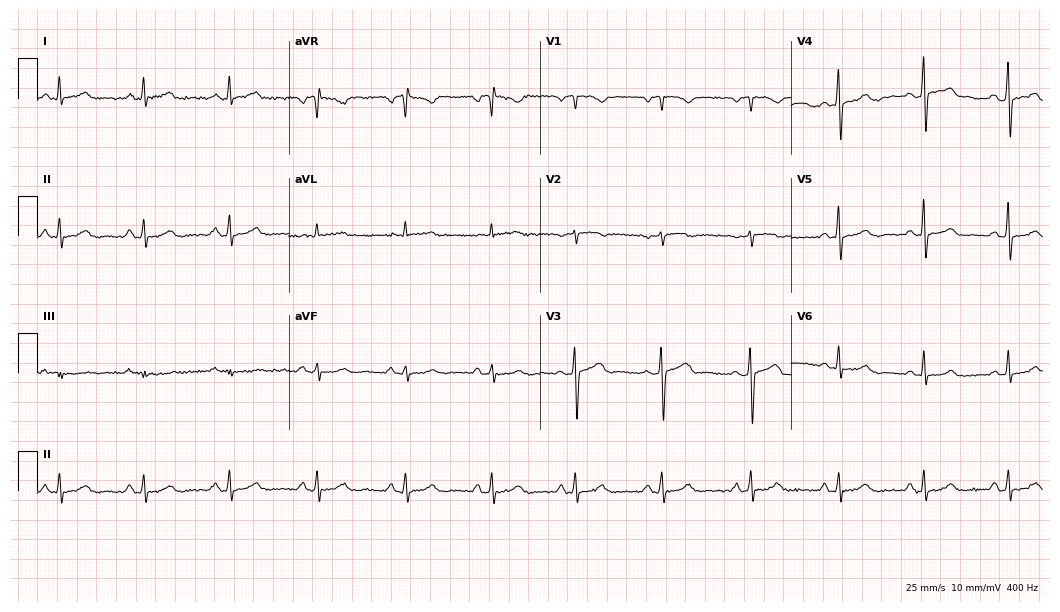
Resting 12-lead electrocardiogram. Patient: a female, 48 years old. Read as a normal ECG.